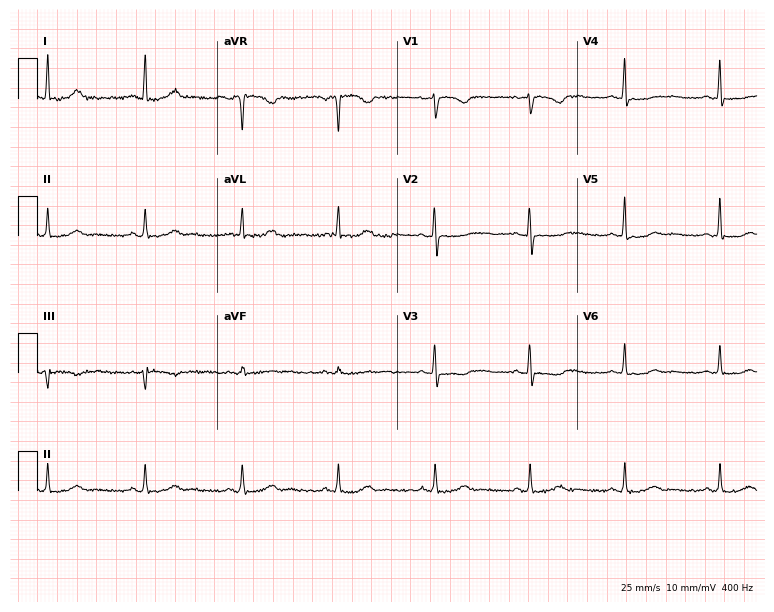
Standard 12-lead ECG recorded from an 85-year-old woman. None of these six findings is recorded: first-degree AV block, right bundle branch block (RBBB), left bundle branch block (LBBB), sinus bradycardia, atrial fibrillation (AF), sinus tachycardia.